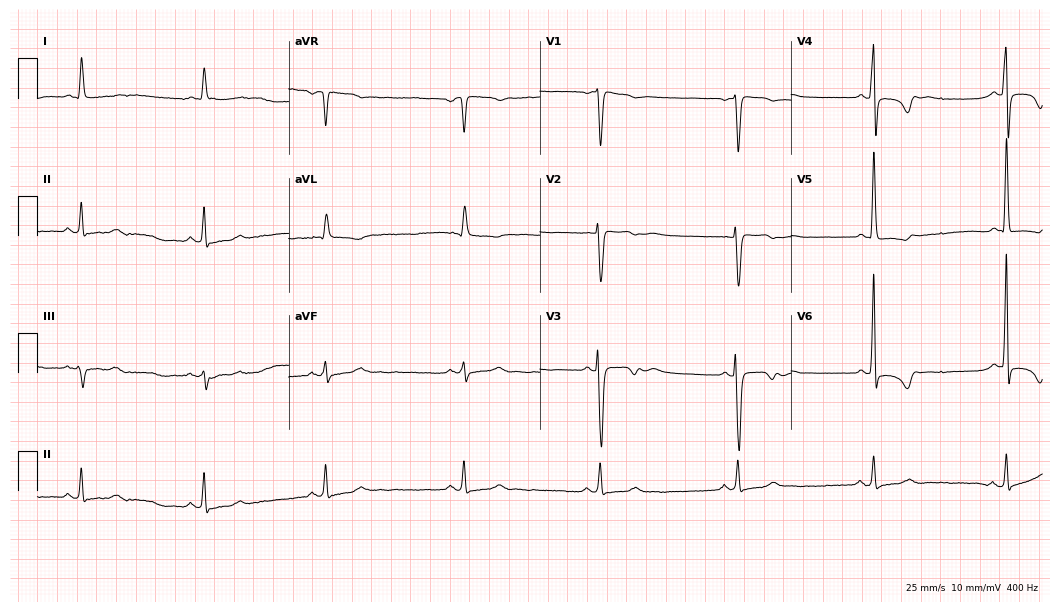
Electrocardiogram, a woman, 43 years old. Interpretation includes sinus bradycardia (a sinus rate of 50 beats per minute or less).